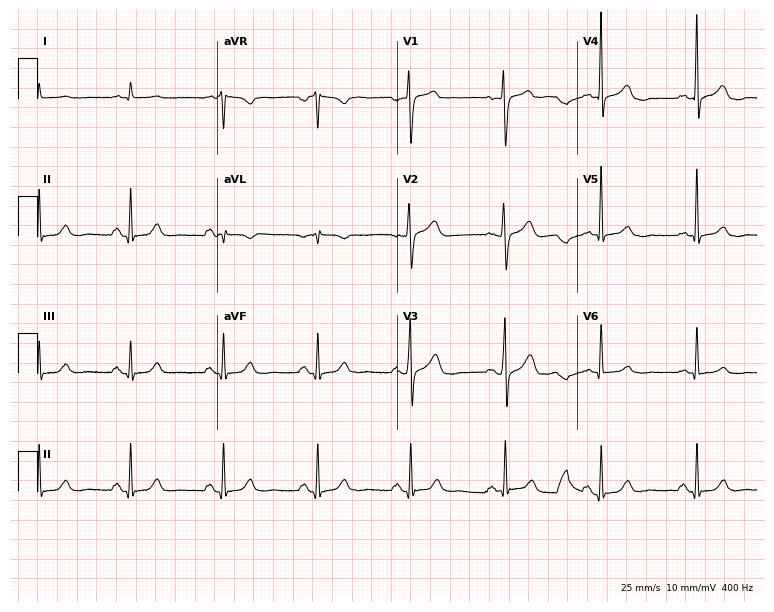
Resting 12-lead electrocardiogram (7.3-second recording at 400 Hz). Patient: a 58-year-old man. Read as a normal ECG.